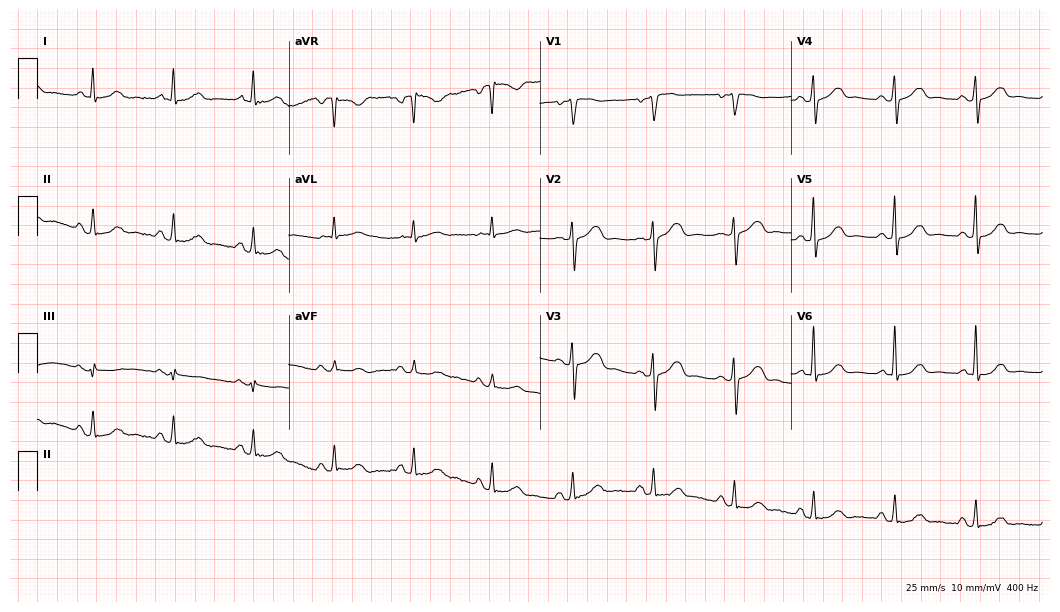
ECG (10.2-second recording at 400 Hz) — a 60-year-old female. Labelled as a normal ECG.